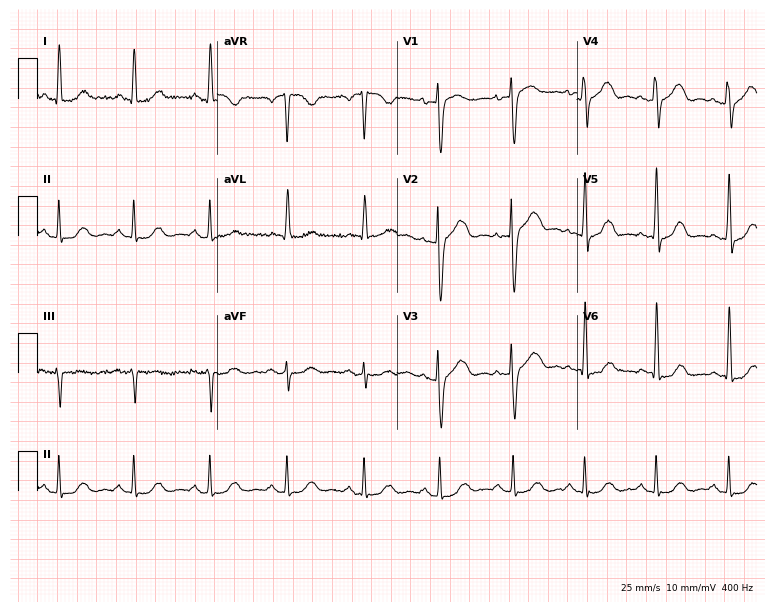
ECG (7.3-second recording at 400 Hz) — a 58-year-old female patient. Labelled as a normal ECG.